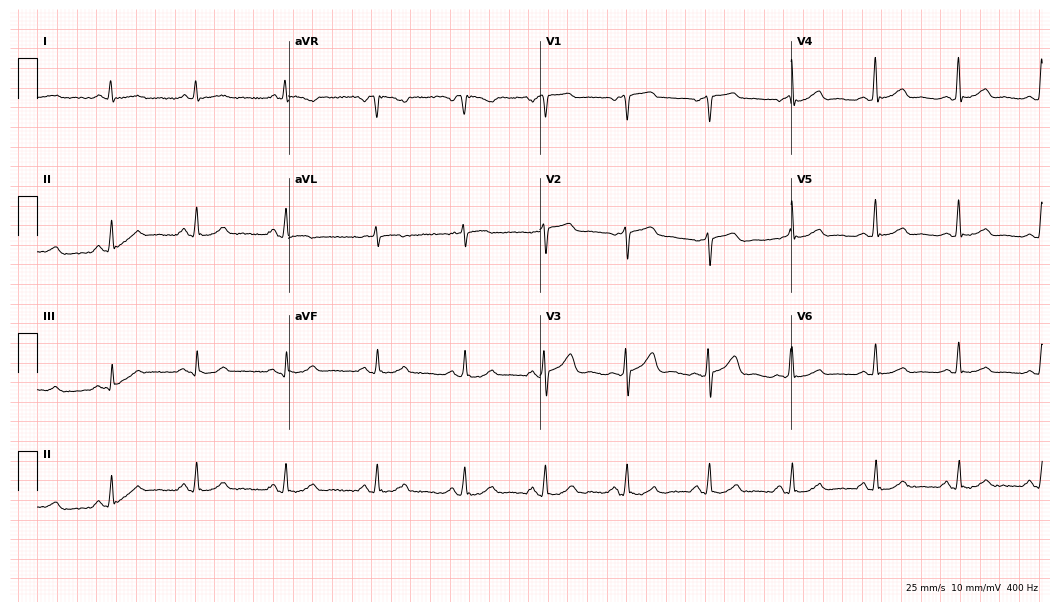
12-lead ECG (10.2-second recording at 400 Hz) from a 62-year-old female patient. Labelled as a normal ECG.